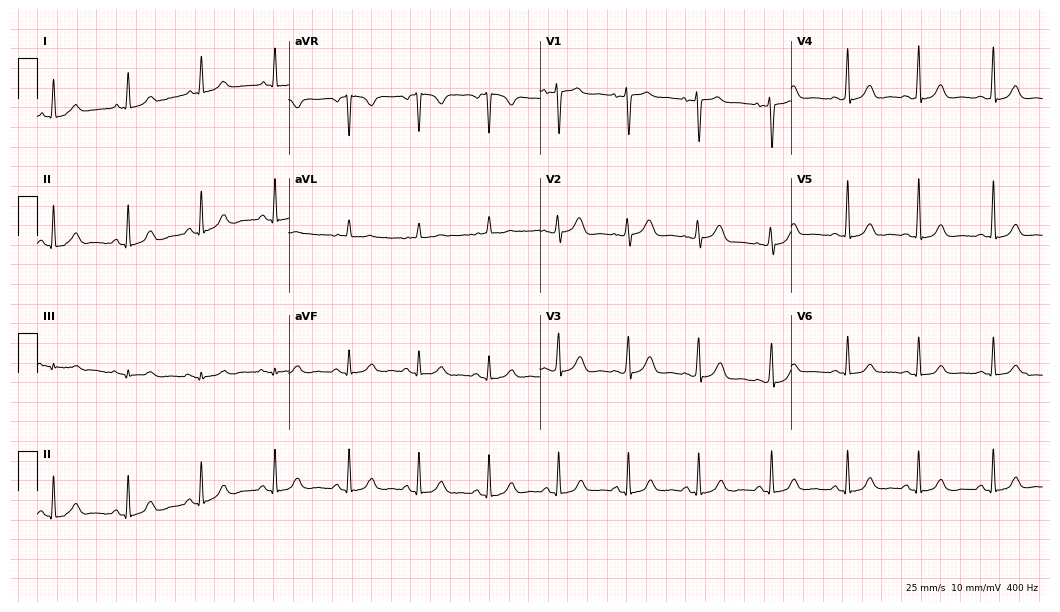
12-lead ECG (10.2-second recording at 400 Hz) from a female, 51 years old. Labelled as a normal ECG.